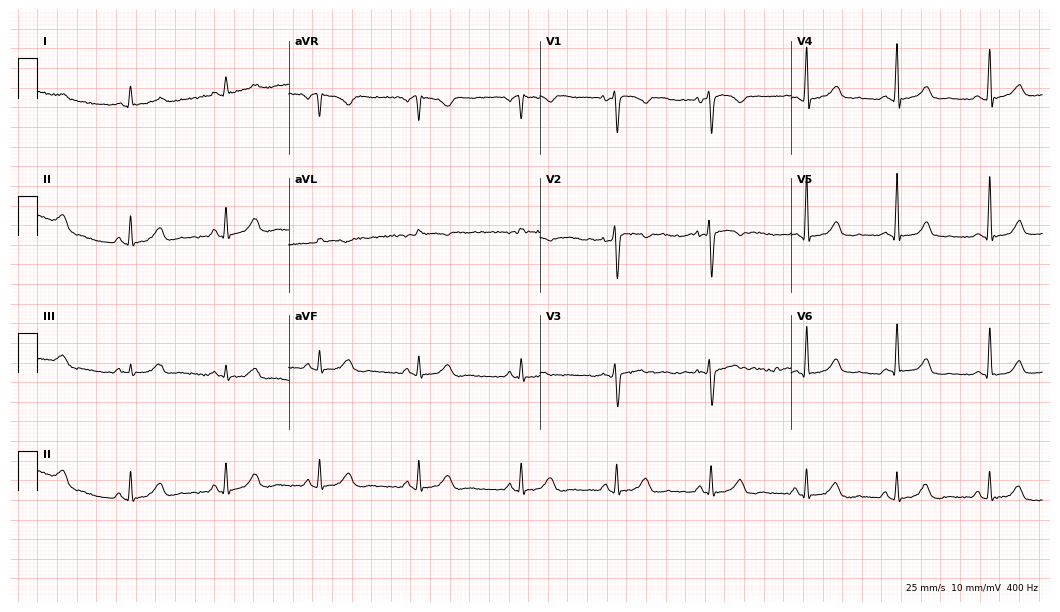
Standard 12-lead ECG recorded from a female patient, 33 years old (10.2-second recording at 400 Hz). Read as a normal ECG.